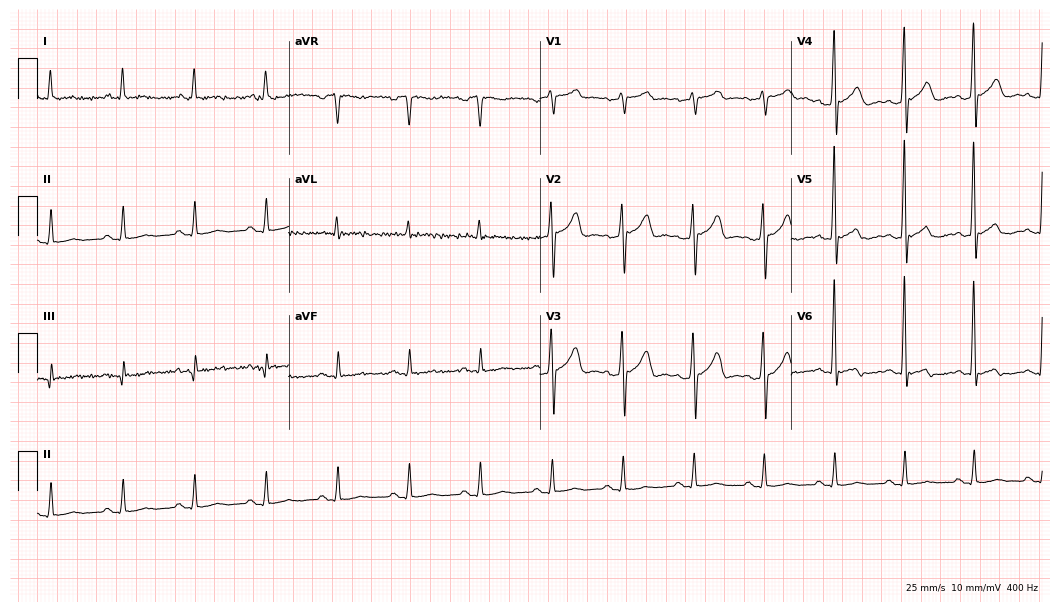
ECG (10.2-second recording at 400 Hz) — a 66-year-old male. Labelled as a normal ECG.